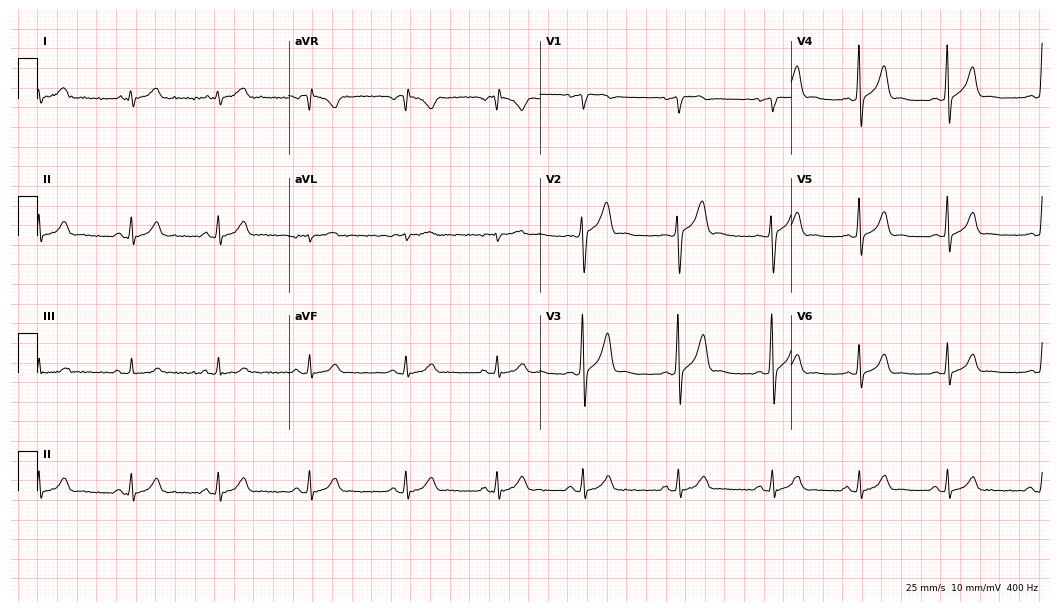
12-lead ECG from a 38-year-old male. Recorded interpretation: within normal limits.